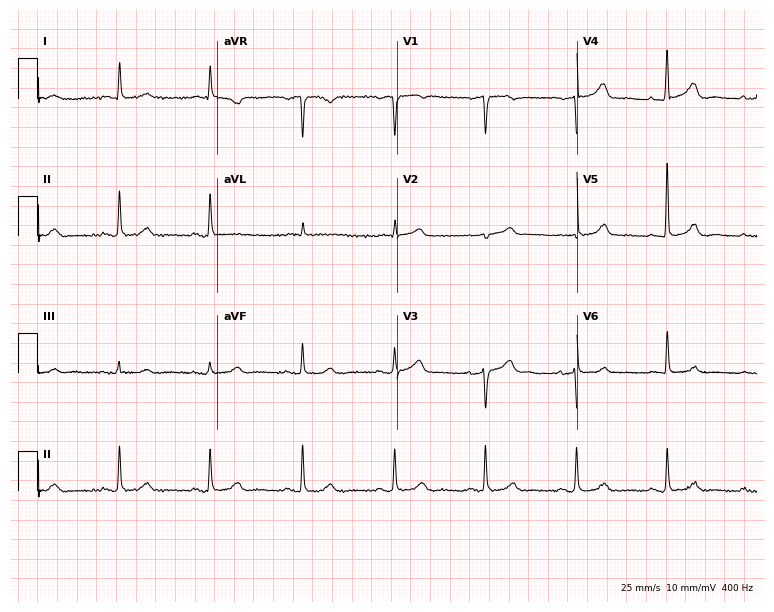
Standard 12-lead ECG recorded from a 76-year-old female patient. None of these six findings is recorded: first-degree AV block, right bundle branch block (RBBB), left bundle branch block (LBBB), sinus bradycardia, atrial fibrillation (AF), sinus tachycardia.